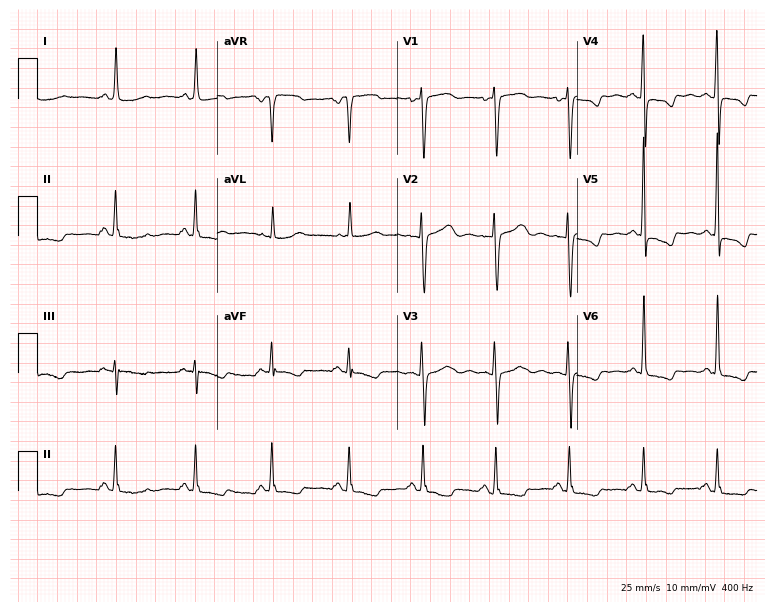
Standard 12-lead ECG recorded from a female patient, 44 years old. None of these six findings is recorded: first-degree AV block, right bundle branch block, left bundle branch block, sinus bradycardia, atrial fibrillation, sinus tachycardia. Other findings, if any, are not listed.